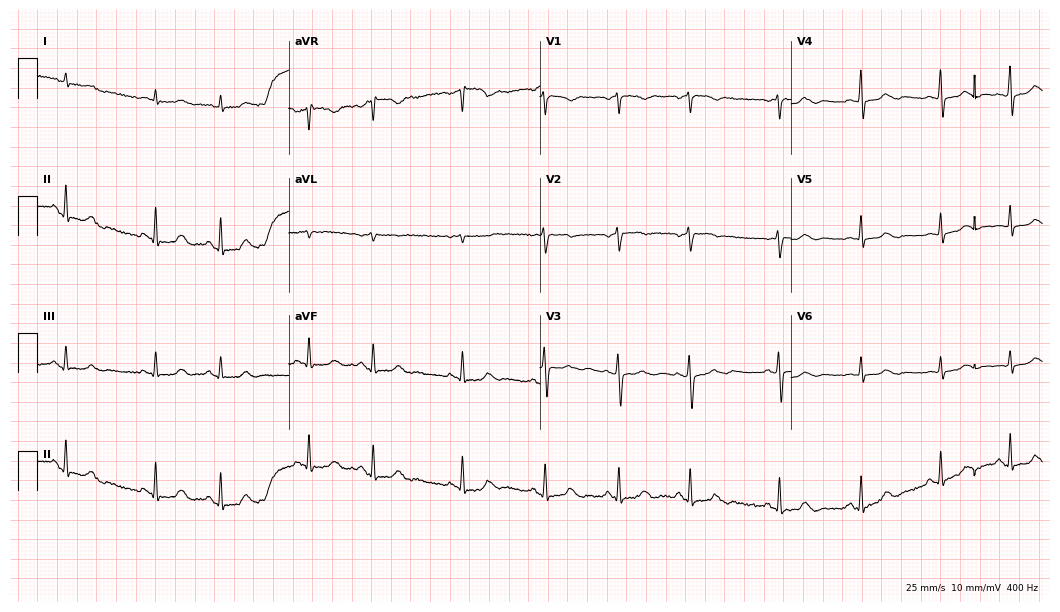
12-lead ECG from a woman, 73 years old (10.2-second recording at 400 Hz). No first-degree AV block, right bundle branch block, left bundle branch block, sinus bradycardia, atrial fibrillation or sinus tachycardia recorded for this tracing. Other findings, if any, are not listed.